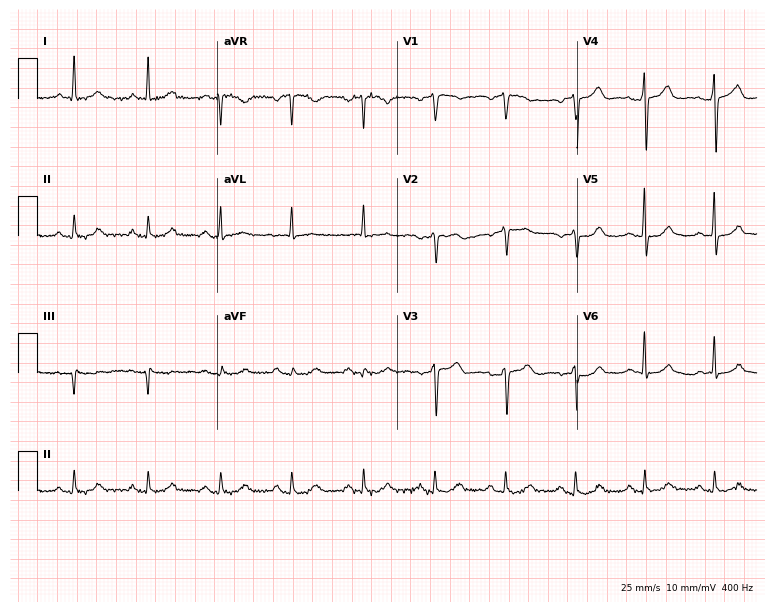
ECG (7.3-second recording at 400 Hz) — a 38-year-old female. Screened for six findings — first-degree AV block, right bundle branch block, left bundle branch block, sinus bradycardia, atrial fibrillation, sinus tachycardia — none is recorded. Findings outside these six are not listed.